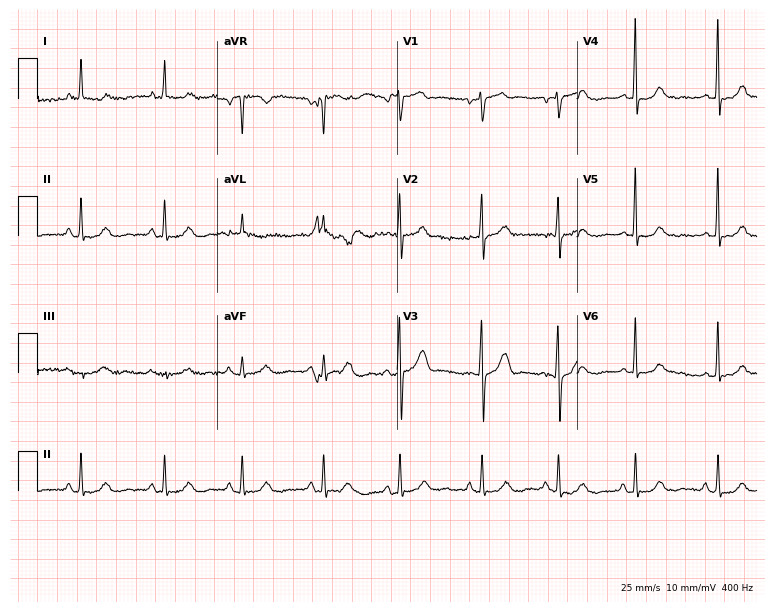
Standard 12-lead ECG recorded from a 67-year-old female patient. Read as a normal ECG.